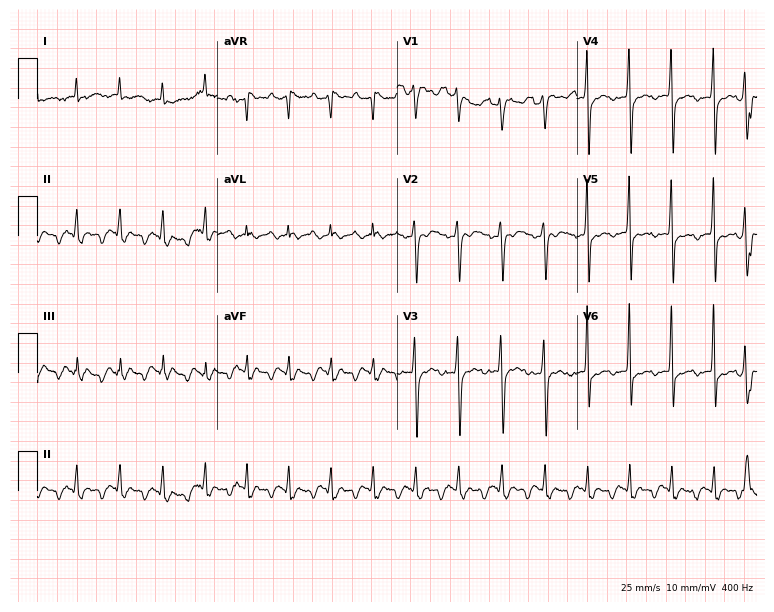
Resting 12-lead electrocardiogram. Patient: a male, 72 years old. None of these six findings is recorded: first-degree AV block, right bundle branch block (RBBB), left bundle branch block (LBBB), sinus bradycardia, atrial fibrillation (AF), sinus tachycardia. Only these six findings were labelled.